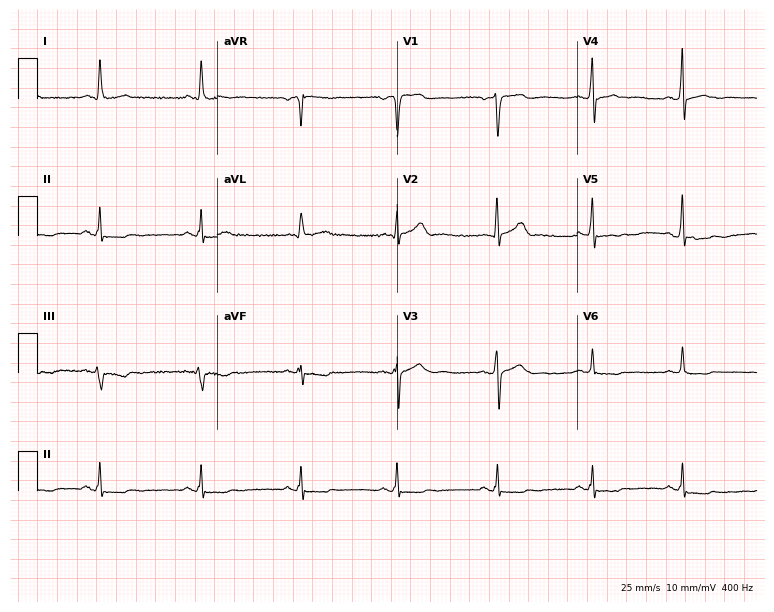
12-lead ECG from a 57-year-old man (7.3-second recording at 400 Hz). No first-degree AV block, right bundle branch block, left bundle branch block, sinus bradycardia, atrial fibrillation or sinus tachycardia recorded for this tracing. Other findings, if any, are not listed.